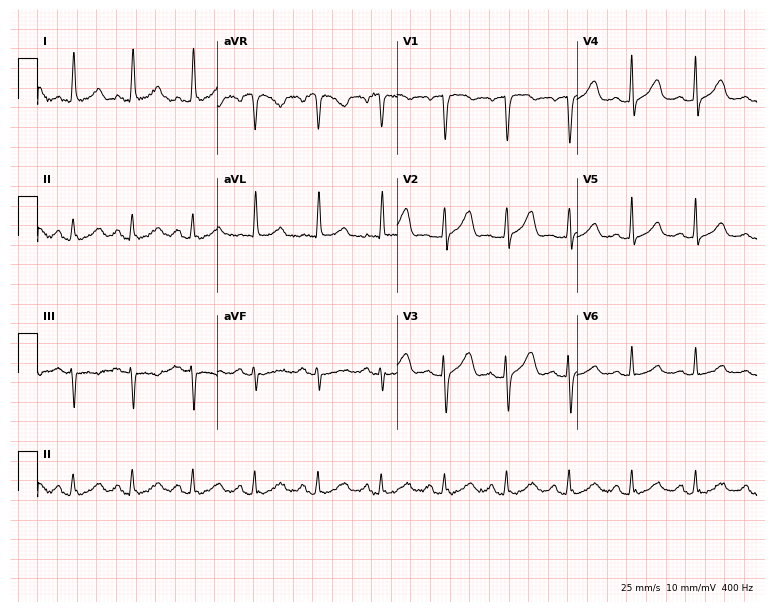
Resting 12-lead electrocardiogram. Patient: a woman, 75 years old. None of these six findings is recorded: first-degree AV block, right bundle branch block (RBBB), left bundle branch block (LBBB), sinus bradycardia, atrial fibrillation (AF), sinus tachycardia.